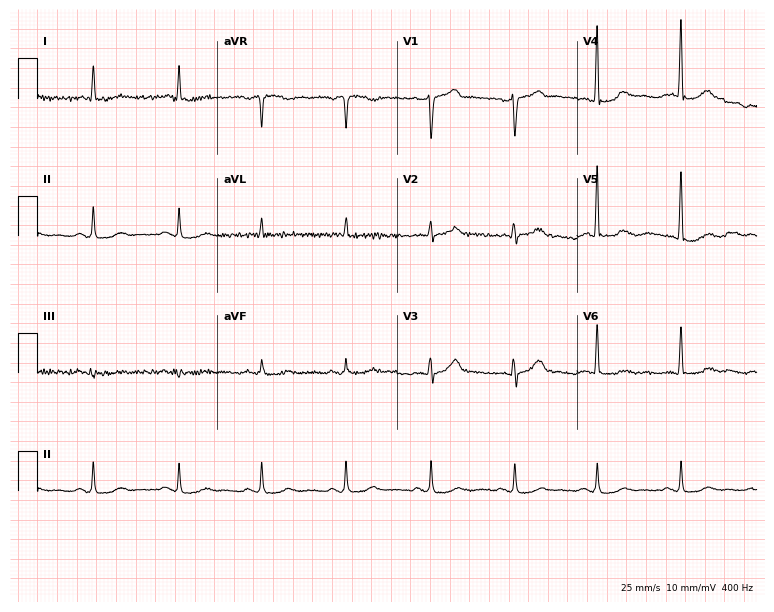
12-lead ECG (7.3-second recording at 400 Hz) from a 77-year-old male. Labelled as a normal ECG.